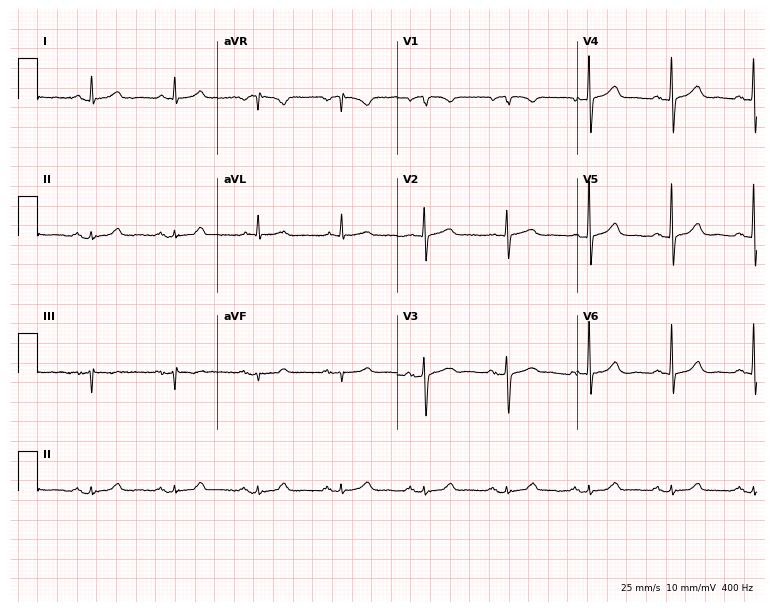
12-lead ECG from an 80-year-old man. Recorded interpretation: within normal limits.